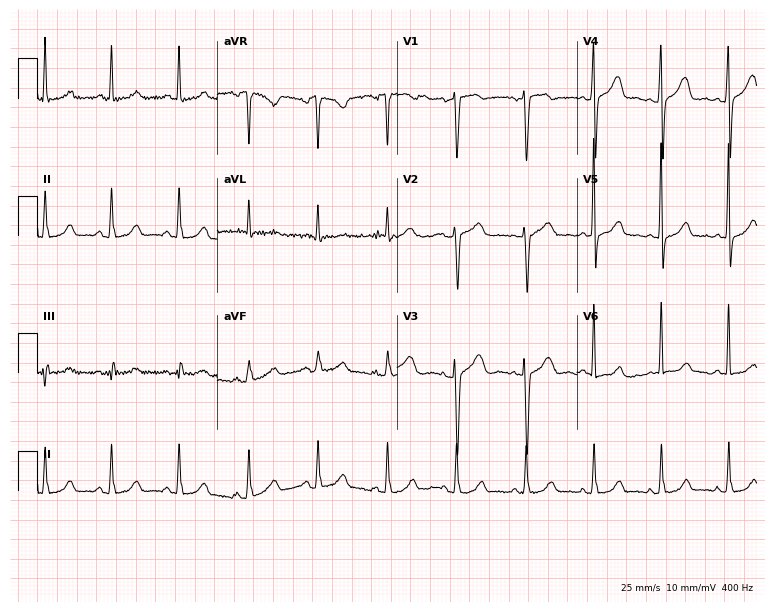
12-lead ECG from a woman, 40 years old. Labelled as a normal ECG.